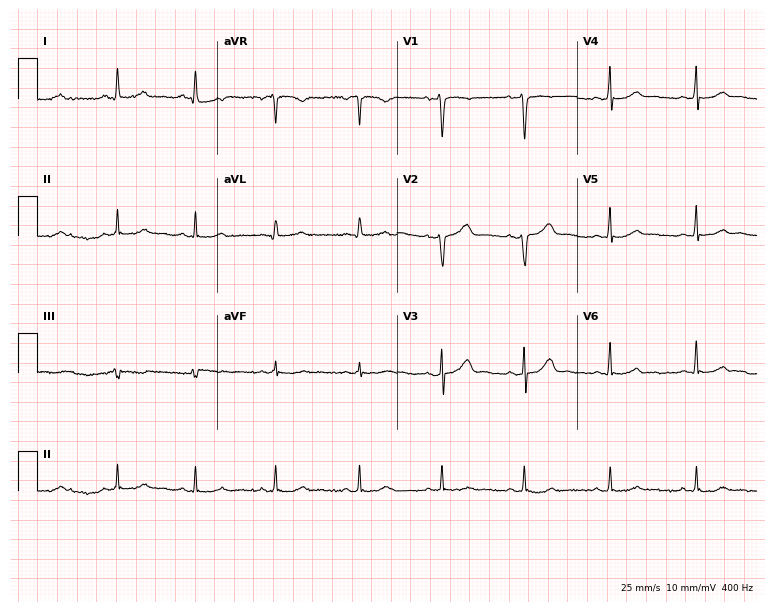
Electrocardiogram, a 33-year-old female patient. Overall reading on record: normal ECG.